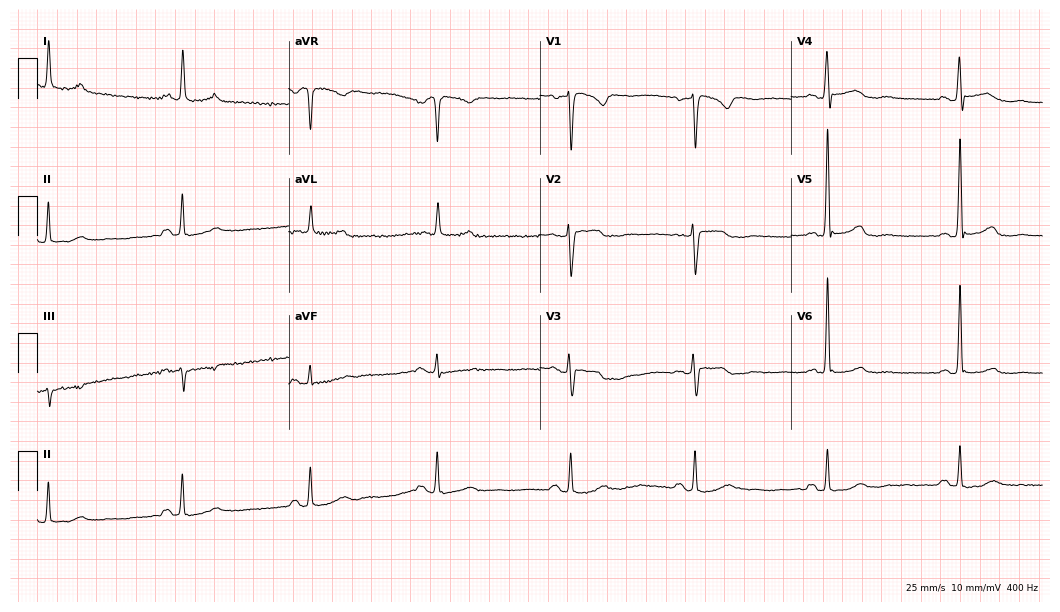
ECG — a 65-year-old female patient. Findings include sinus bradycardia (a sinus rate of 50 beats per minute or less).